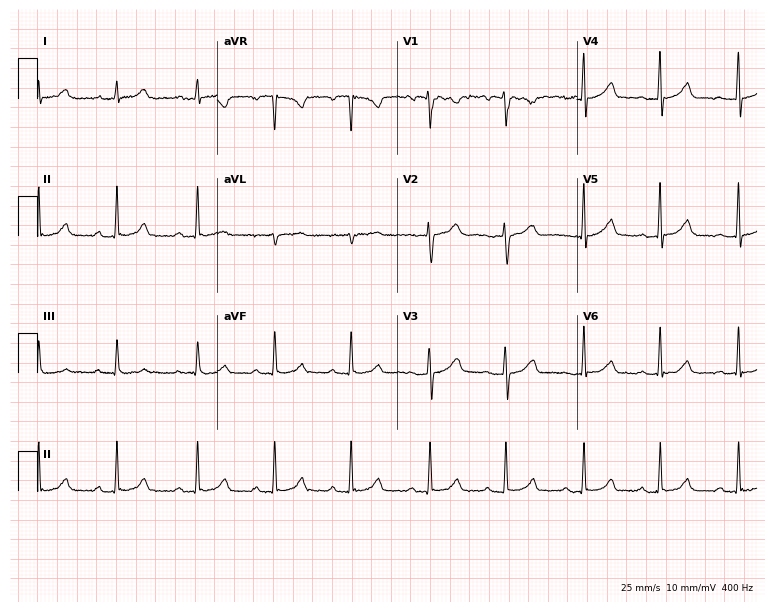
12-lead ECG (7.3-second recording at 400 Hz) from a 37-year-old female patient. Screened for six findings — first-degree AV block, right bundle branch block, left bundle branch block, sinus bradycardia, atrial fibrillation, sinus tachycardia — none is recorded.